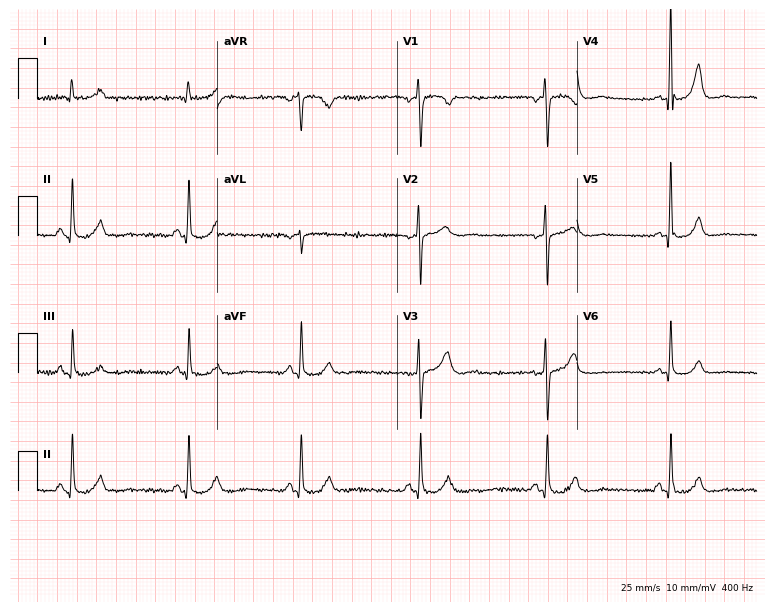
Electrocardiogram, a male, 51 years old. Interpretation includes sinus bradycardia (a sinus rate of 50 beats per minute or less).